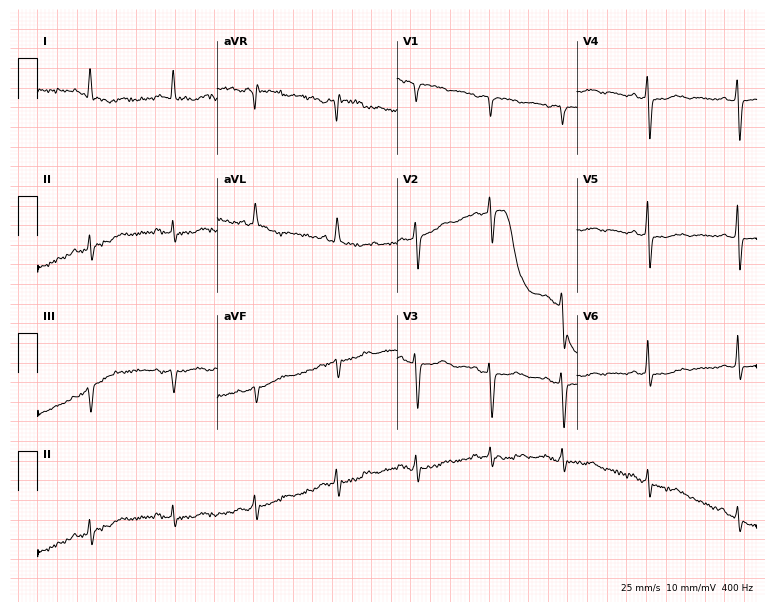
ECG (7.3-second recording at 400 Hz) — a female patient, 75 years old. Screened for six findings — first-degree AV block, right bundle branch block, left bundle branch block, sinus bradycardia, atrial fibrillation, sinus tachycardia — none is recorded.